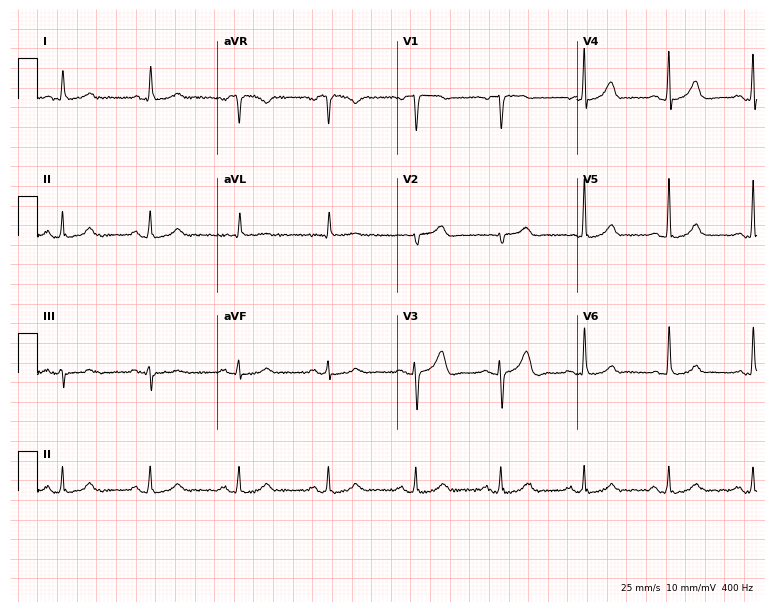
ECG — a 72-year-old female. Labelled as a normal ECG.